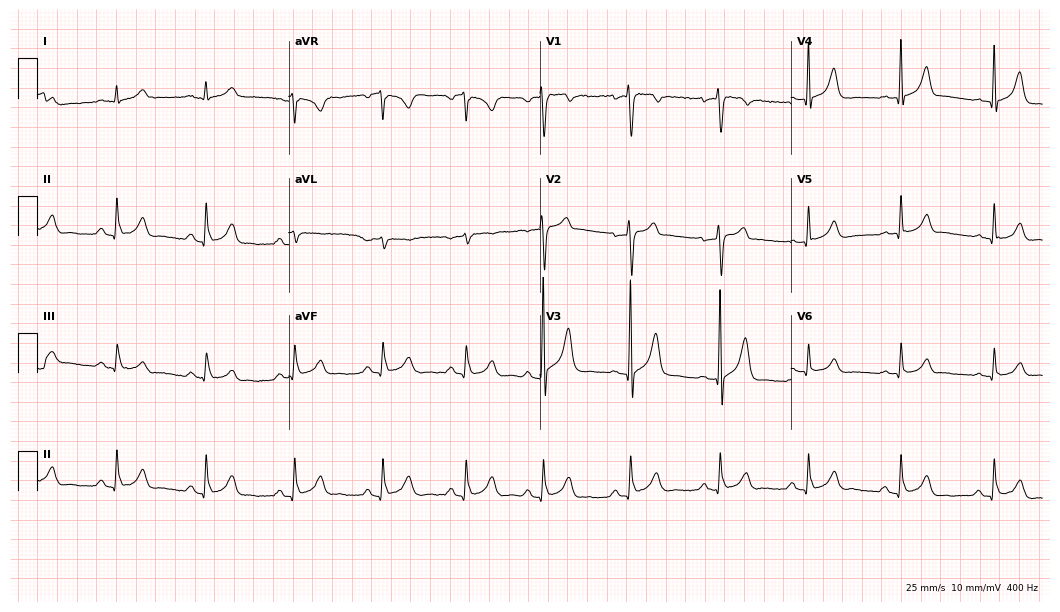
12-lead ECG from a man, 49 years old. Labelled as a normal ECG.